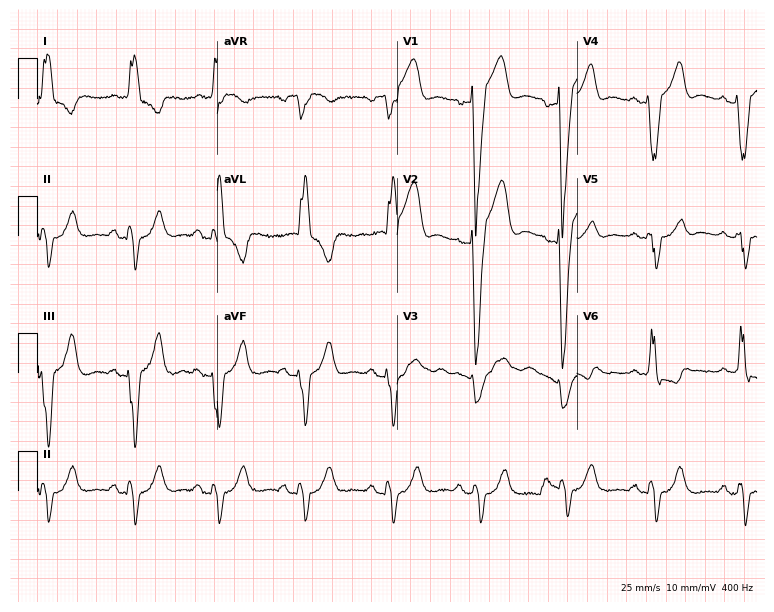
Resting 12-lead electrocardiogram (7.3-second recording at 400 Hz). Patient: a 75-year-old man. The tracing shows left bundle branch block.